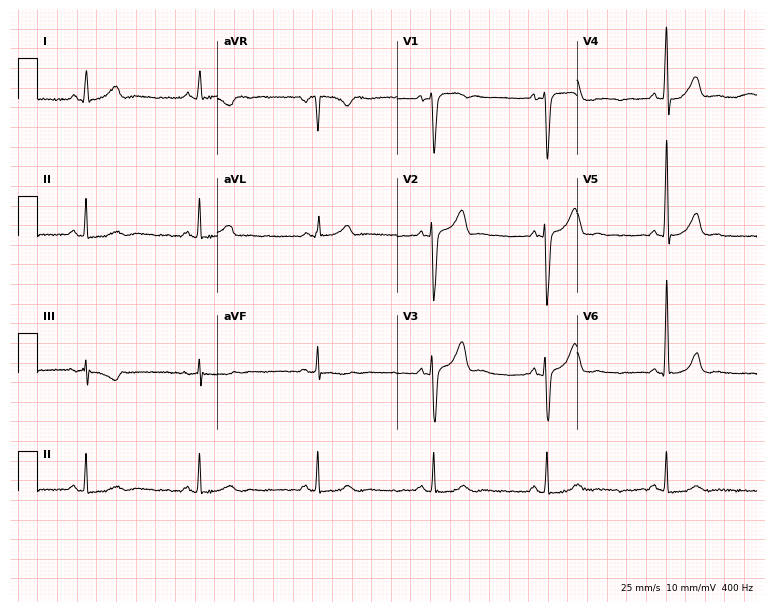
Resting 12-lead electrocardiogram (7.3-second recording at 400 Hz). Patient: a man, 56 years old. None of these six findings is recorded: first-degree AV block, right bundle branch block (RBBB), left bundle branch block (LBBB), sinus bradycardia, atrial fibrillation (AF), sinus tachycardia. Only these six findings were labelled.